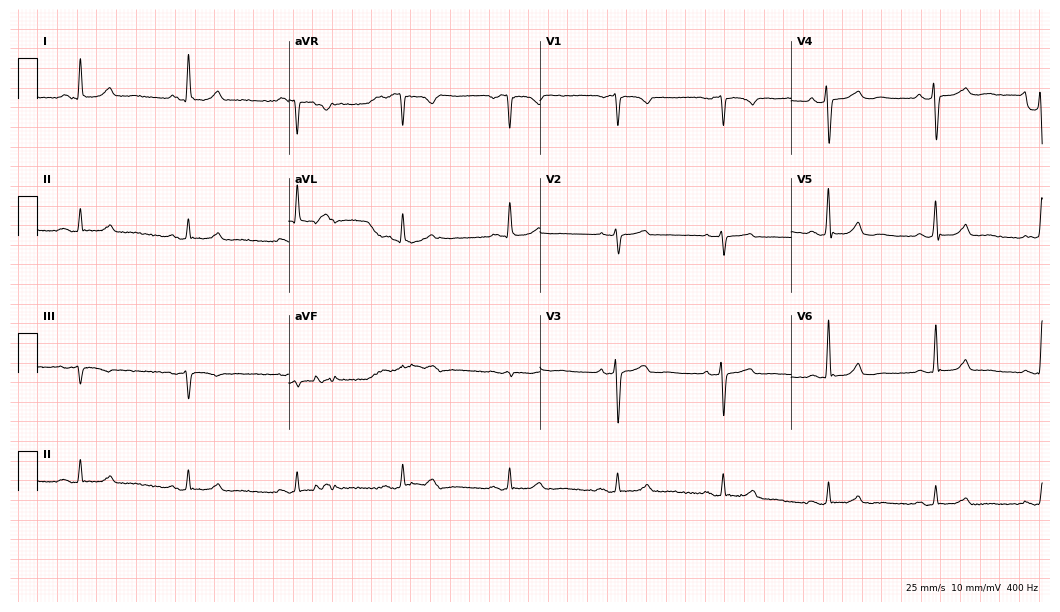
12-lead ECG from a 68-year-old female. No first-degree AV block, right bundle branch block (RBBB), left bundle branch block (LBBB), sinus bradycardia, atrial fibrillation (AF) or sinus tachycardia recorded for this tracing. Findings outside these six are not listed.